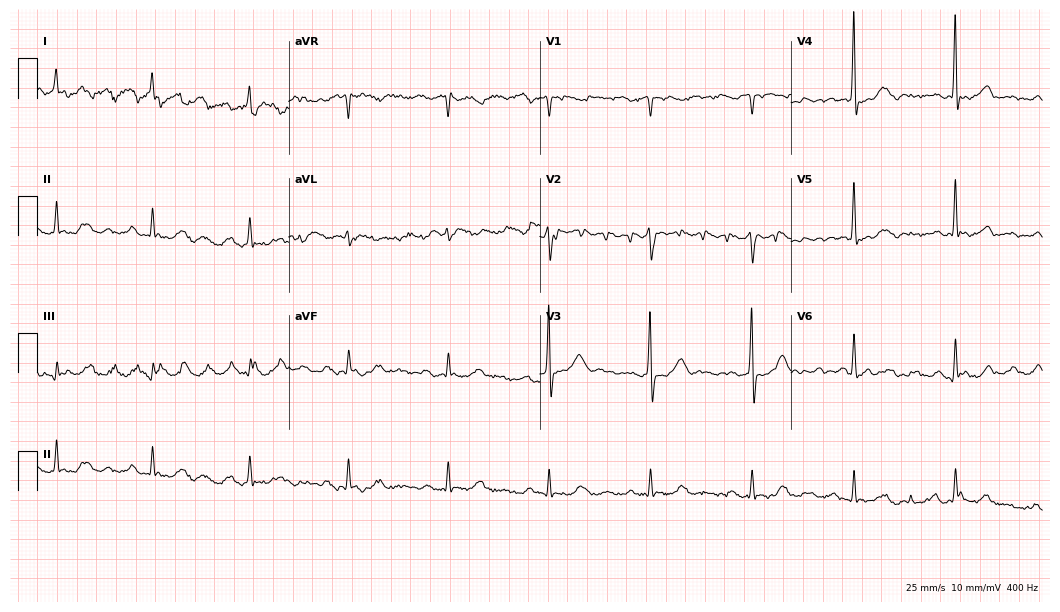
Electrocardiogram (10.2-second recording at 400 Hz), a 76-year-old male patient. Of the six screened findings (first-degree AV block, right bundle branch block, left bundle branch block, sinus bradycardia, atrial fibrillation, sinus tachycardia), none is recorded. Only these six findings were labelled.